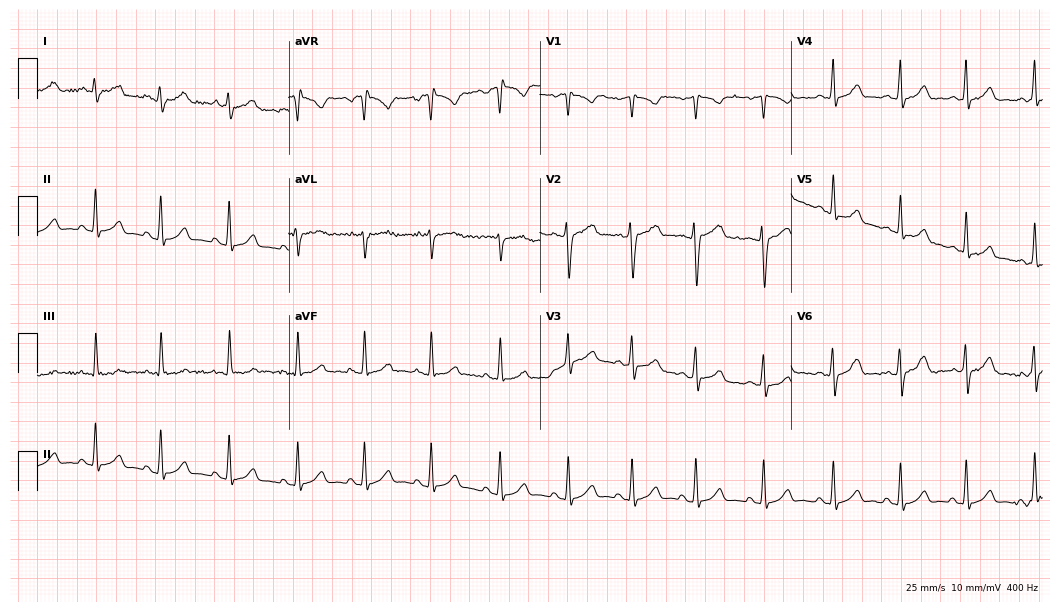
Electrocardiogram, a female patient, 31 years old. Overall reading on record: normal ECG.